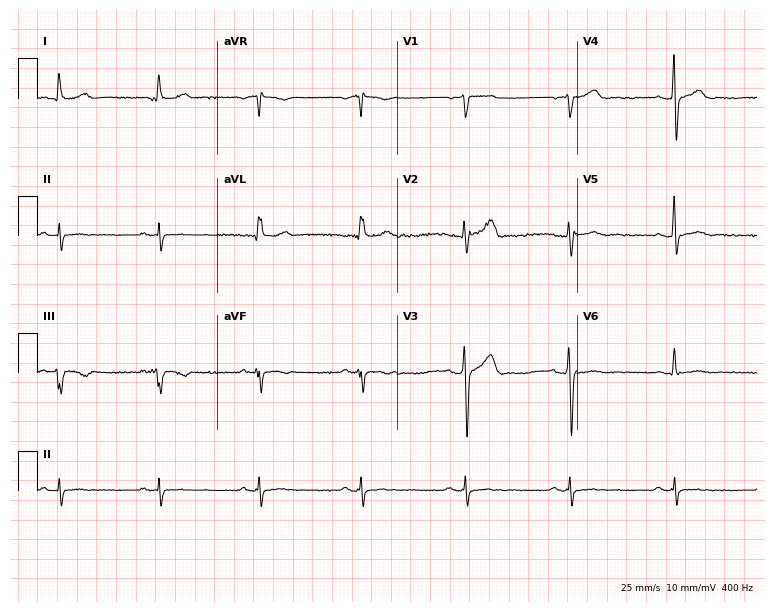
12-lead ECG from a 54-year-old man (7.3-second recording at 400 Hz). No first-degree AV block, right bundle branch block, left bundle branch block, sinus bradycardia, atrial fibrillation or sinus tachycardia recorded for this tracing. Only these six findings were labelled.